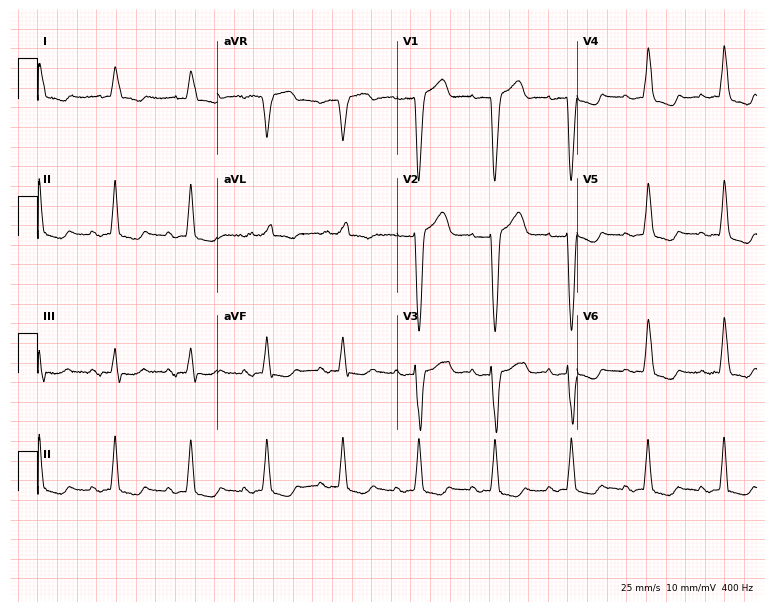
12-lead ECG (7.3-second recording at 400 Hz) from a female patient, 84 years old. Findings include left bundle branch block.